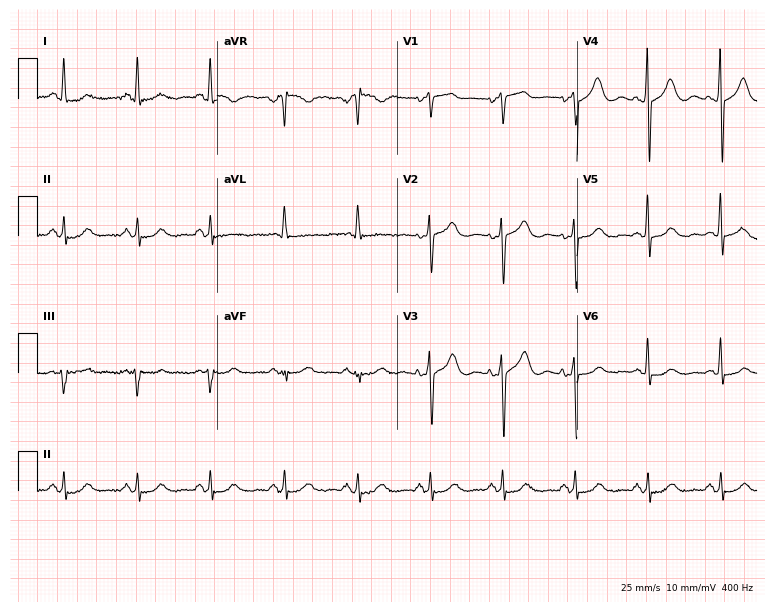
12-lead ECG from a 66-year-old woman (7.3-second recording at 400 Hz). Recorded interpretation: within normal limits.